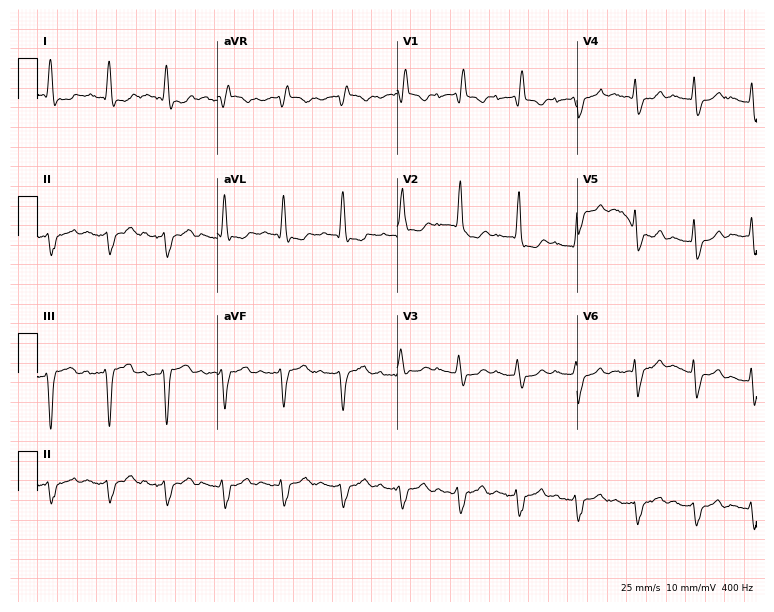
Resting 12-lead electrocardiogram (7.3-second recording at 400 Hz). Patient: an 81-year-old man. The tracing shows right bundle branch block.